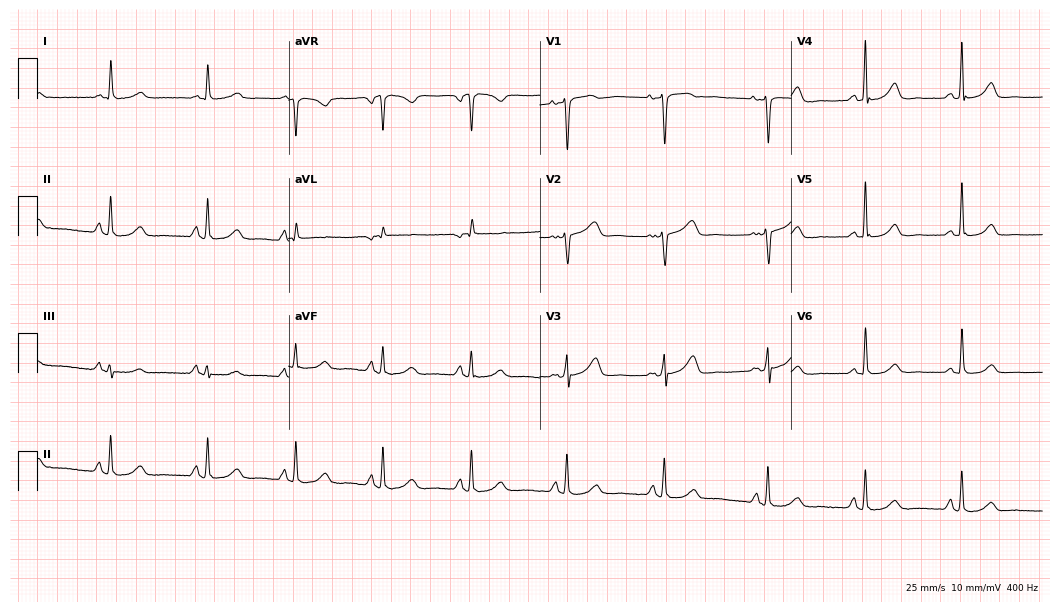
Electrocardiogram, a 61-year-old woman. Overall reading on record: normal ECG.